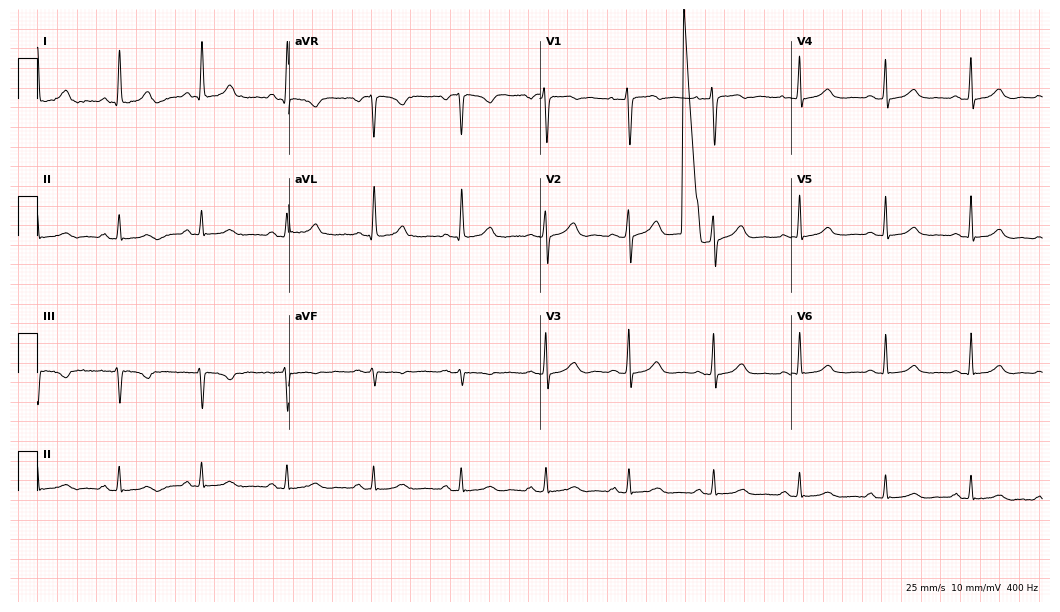
Standard 12-lead ECG recorded from a female patient, 44 years old. None of these six findings is recorded: first-degree AV block, right bundle branch block (RBBB), left bundle branch block (LBBB), sinus bradycardia, atrial fibrillation (AF), sinus tachycardia. Other findings, if any, are not listed.